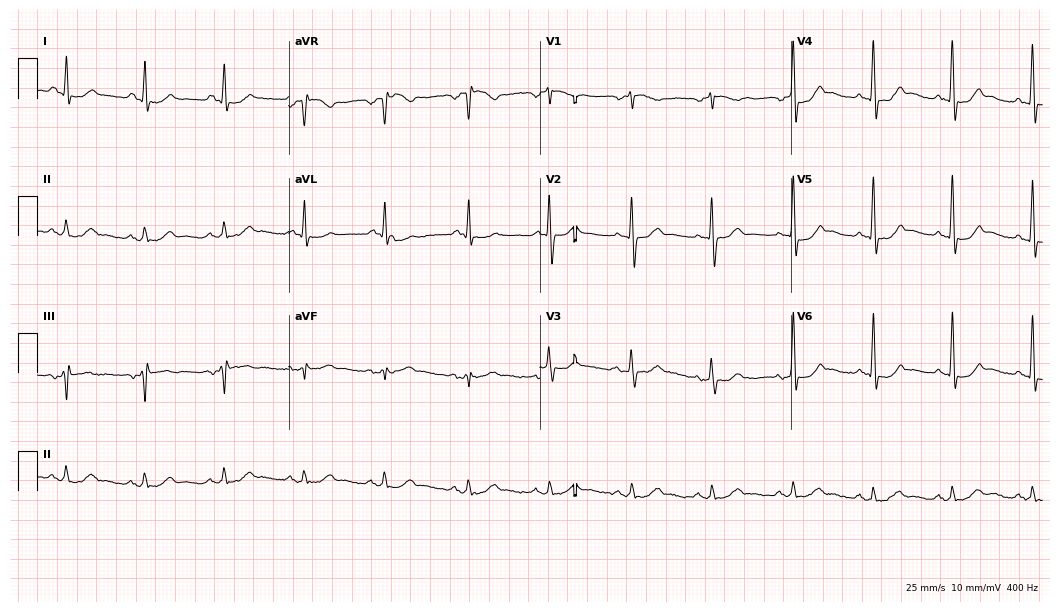
Electrocardiogram, a 65-year-old male patient. Of the six screened findings (first-degree AV block, right bundle branch block, left bundle branch block, sinus bradycardia, atrial fibrillation, sinus tachycardia), none is recorded. Only these six findings were labelled.